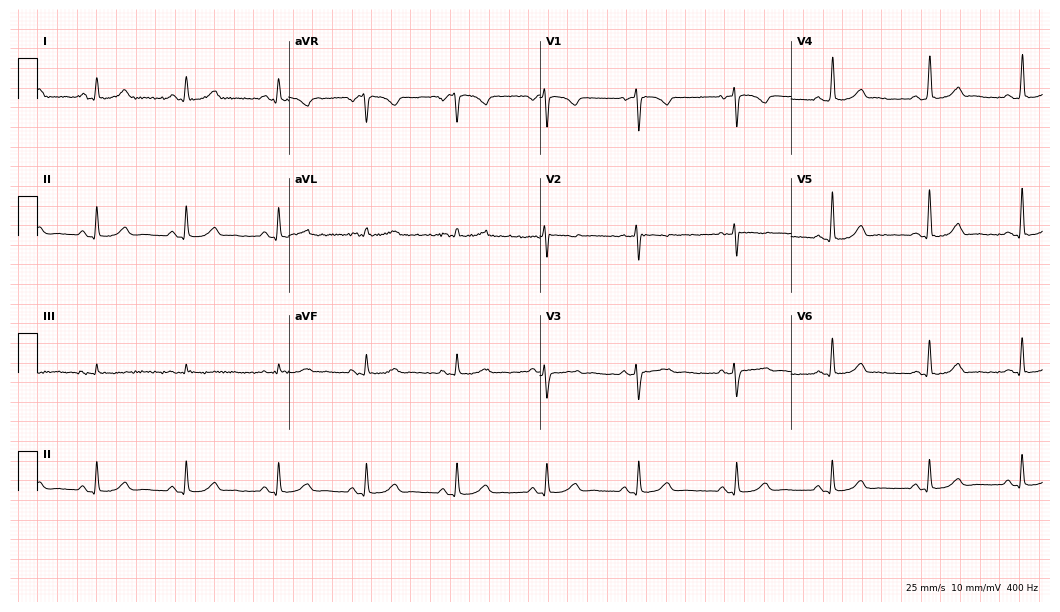
Standard 12-lead ECG recorded from a female patient, 35 years old (10.2-second recording at 400 Hz). Read as a normal ECG.